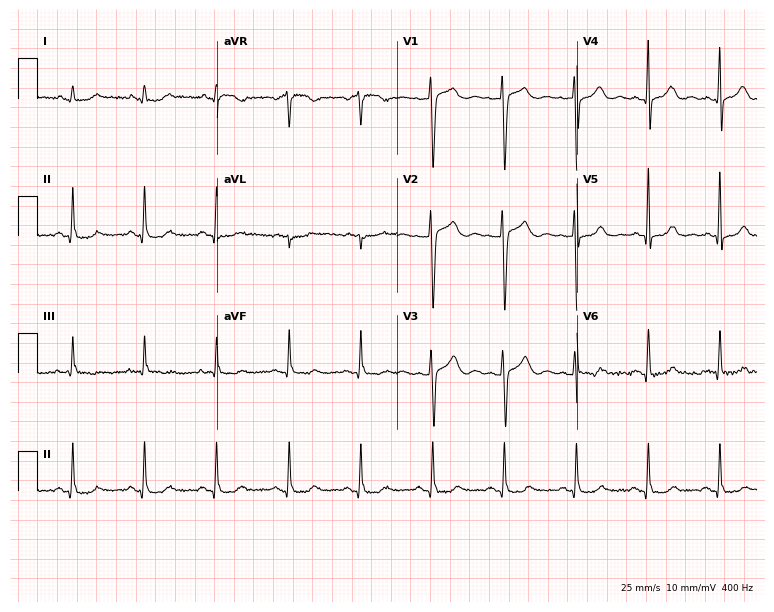
Resting 12-lead electrocardiogram. Patient: a female, 51 years old. None of these six findings is recorded: first-degree AV block, right bundle branch block, left bundle branch block, sinus bradycardia, atrial fibrillation, sinus tachycardia.